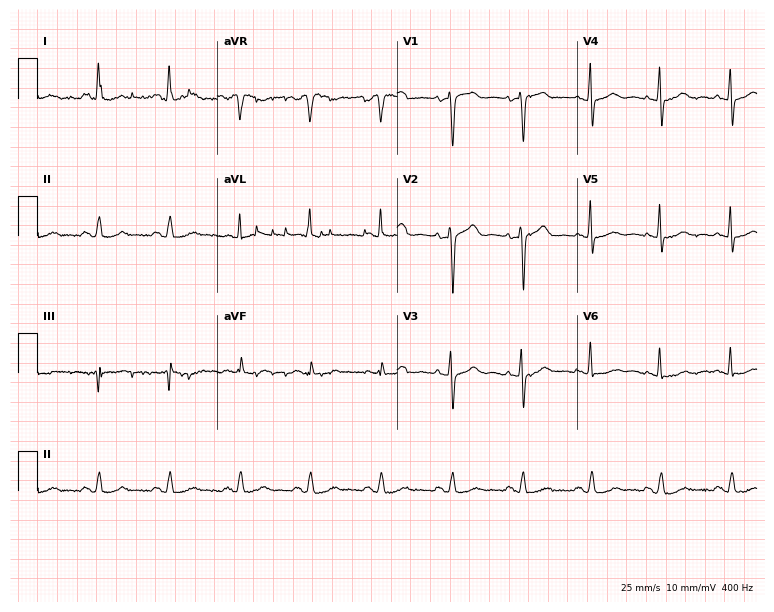
ECG (7.3-second recording at 400 Hz) — a female patient, 48 years old. Screened for six findings — first-degree AV block, right bundle branch block, left bundle branch block, sinus bradycardia, atrial fibrillation, sinus tachycardia — none is recorded.